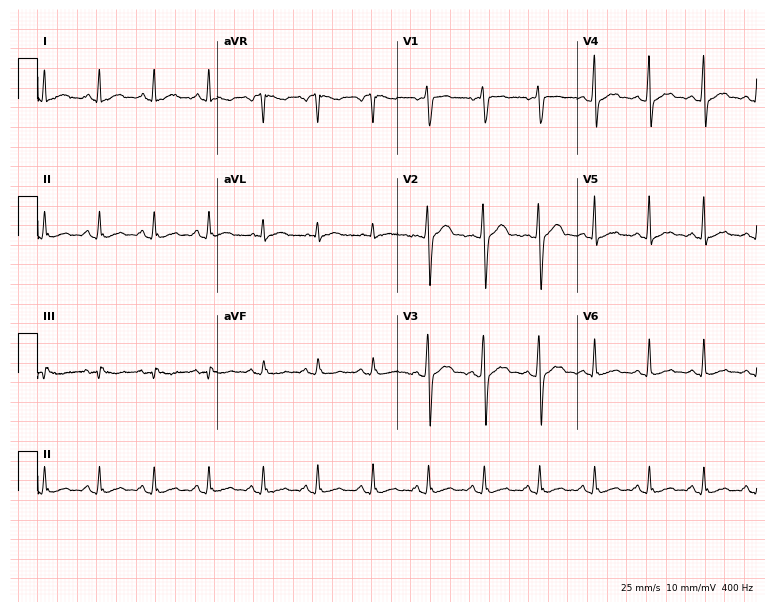
Electrocardiogram (7.3-second recording at 400 Hz), a 34-year-old male patient. Of the six screened findings (first-degree AV block, right bundle branch block, left bundle branch block, sinus bradycardia, atrial fibrillation, sinus tachycardia), none is recorded. Findings outside these six are not listed.